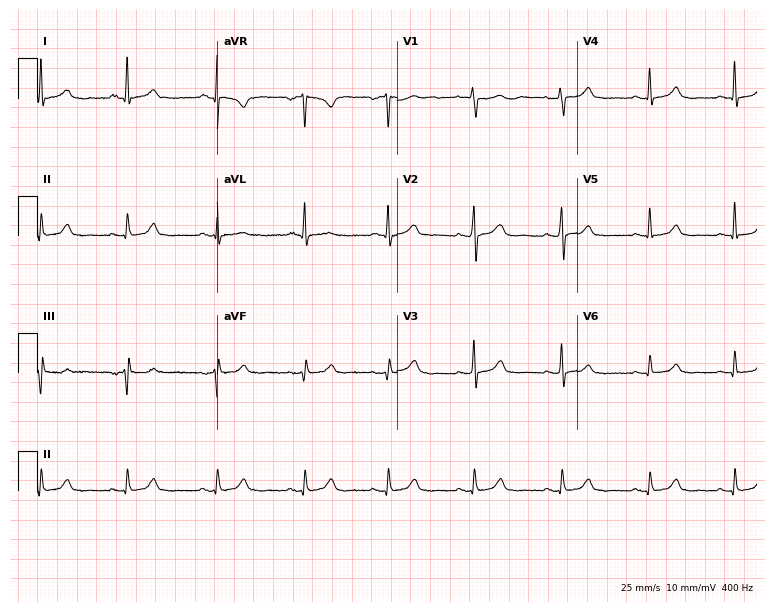
Resting 12-lead electrocardiogram (7.3-second recording at 400 Hz). Patient: a woman, 68 years old. Read as a normal ECG.